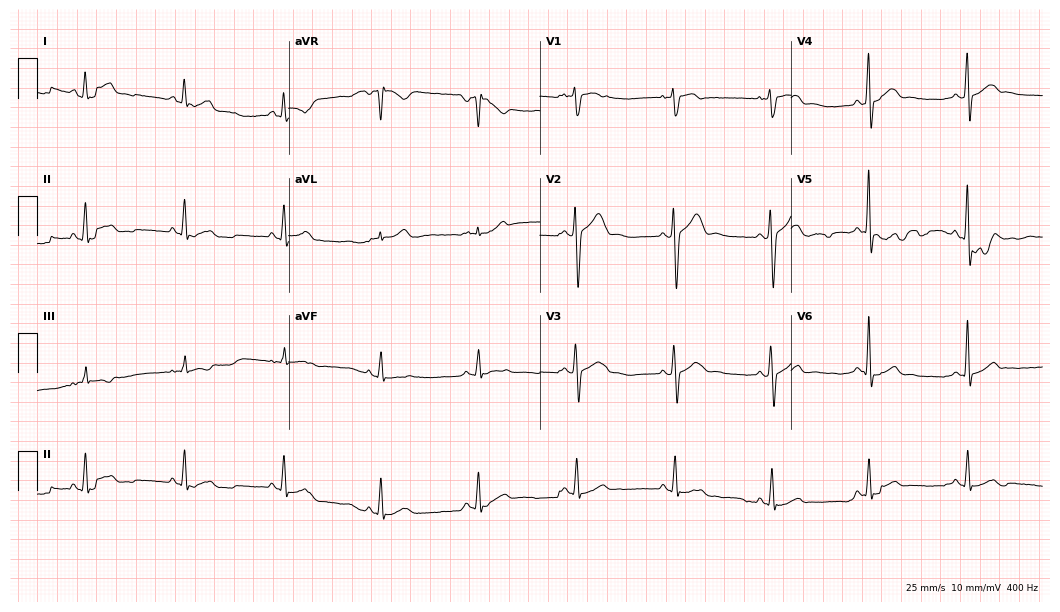
12-lead ECG from a man, 33 years old (10.2-second recording at 400 Hz). No first-degree AV block, right bundle branch block, left bundle branch block, sinus bradycardia, atrial fibrillation or sinus tachycardia recorded for this tracing.